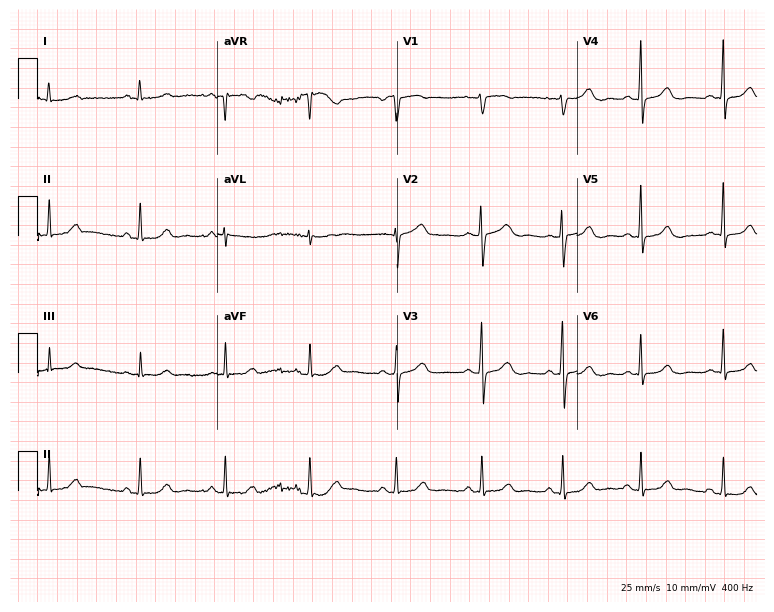
Standard 12-lead ECG recorded from a 34-year-old woman. Read as a normal ECG.